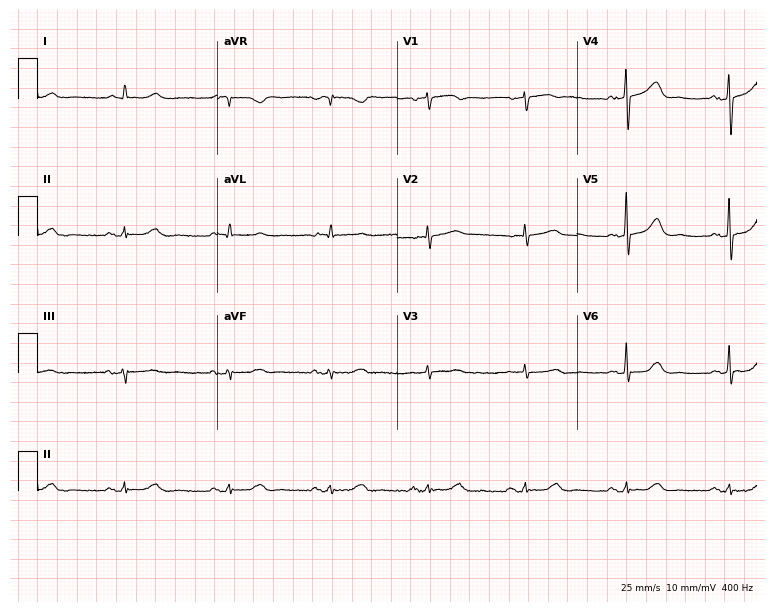
ECG (7.3-second recording at 400 Hz) — an 83-year-old female patient. Labelled as a normal ECG.